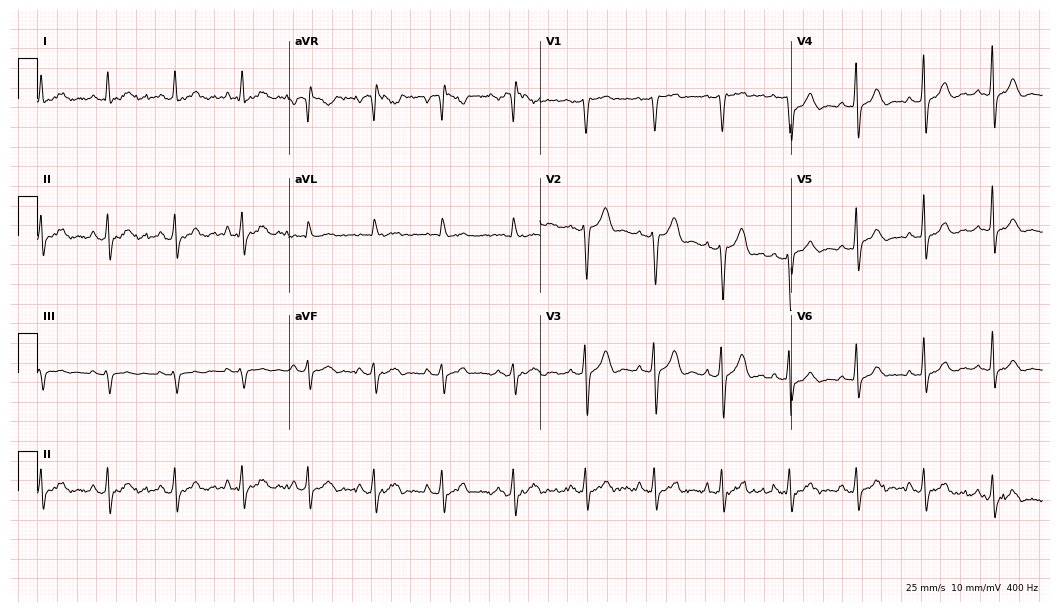
Resting 12-lead electrocardiogram. Patient: a woman, 38 years old. Read as a normal ECG.